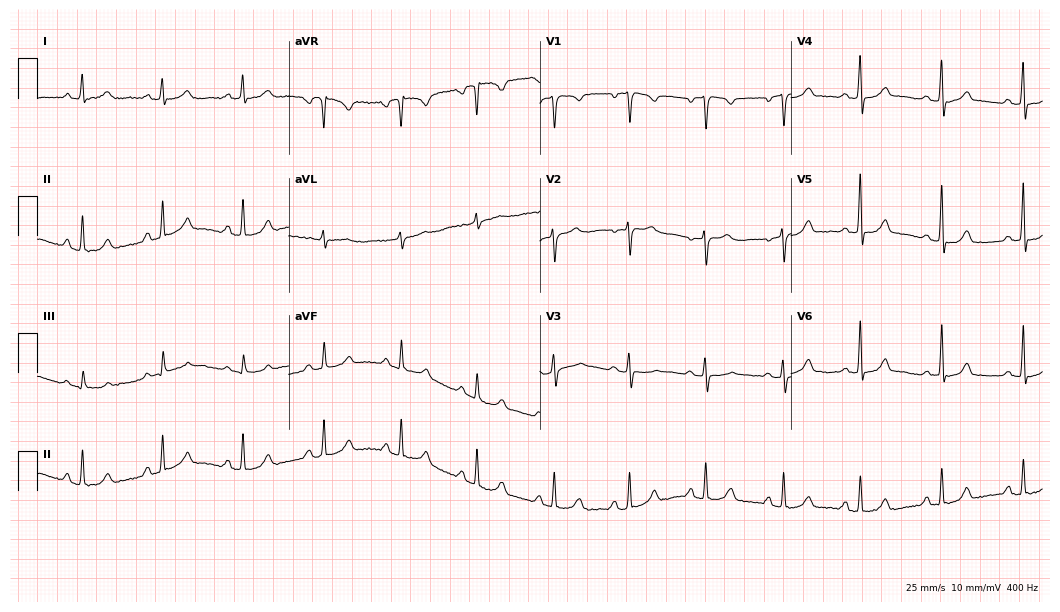
ECG (10.2-second recording at 400 Hz) — a 45-year-old female. Labelled as a normal ECG.